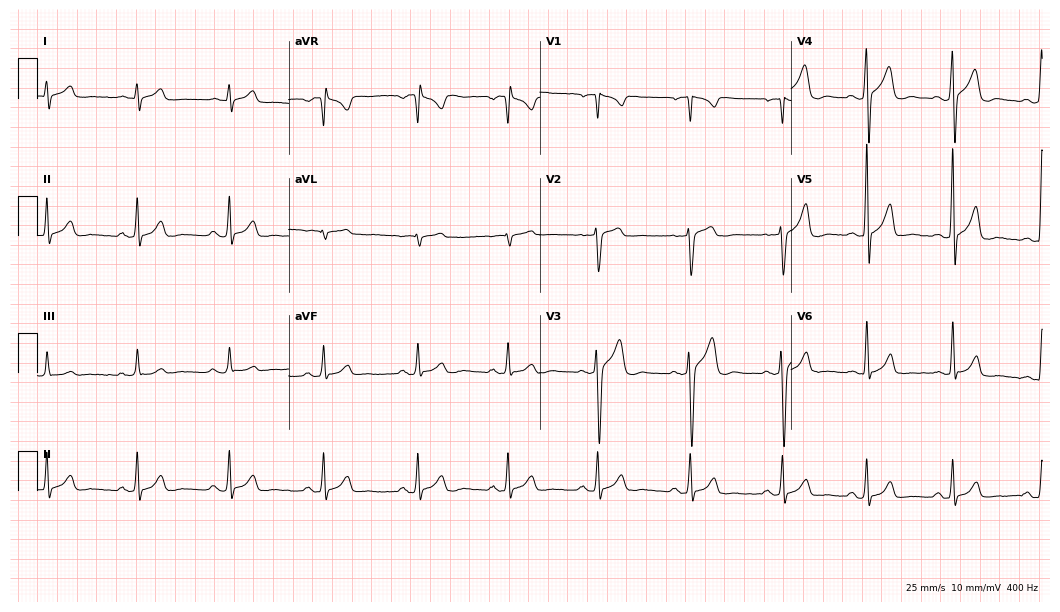
ECG (10.2-second recording at 400 Hz) — a 21-year-old male. Labelled as a normal ECG.